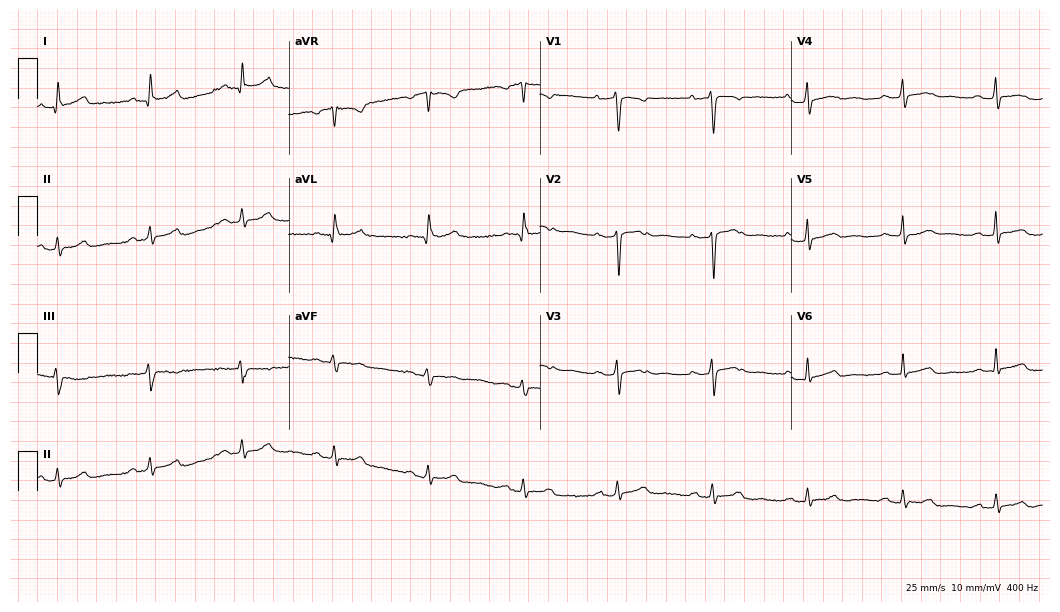
12-lead ECG from a male, 56 years old. No first-degree AV block, right bundle branch block (RBBB), left bundle branch block (LBBB), sinus bradycardia, atrial fibrillation (AF) or sinus tachycardia recorded for this tracing.